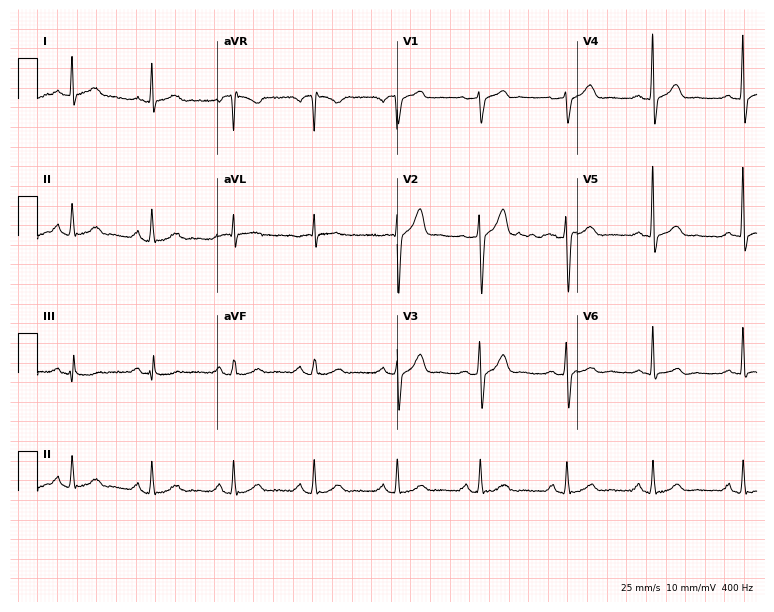
ECG — a male patient, 57 years old. Screened for six findings — first-degree AV block, right bundle branch block (RBBB), left bundle branch block (LBBB), sinus bradycardia, atrial fibrillation (AF), sinus tachycardia — none is recorded.